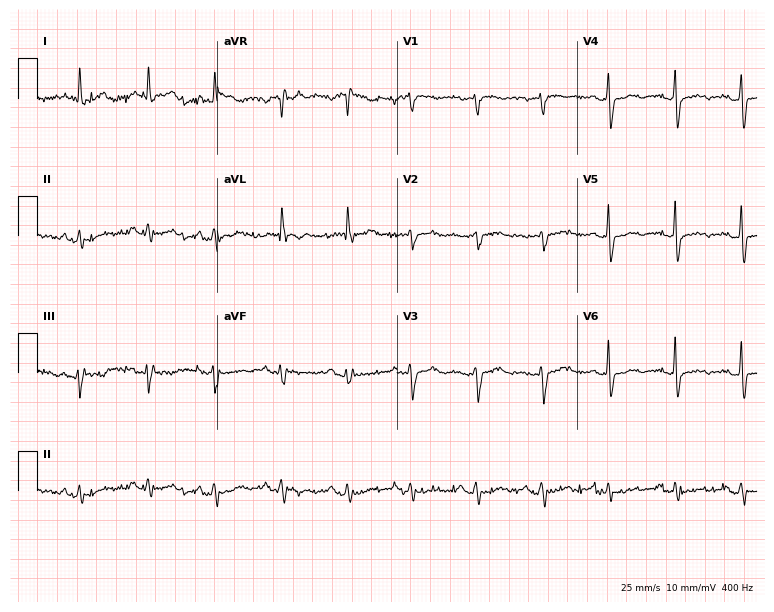
ECG (7.3-second recording at 400 Hz) — a female, 69 years old. Screened for six findings — first-degree AV block, right bundle branch block, left bundle branch block, sinus bradycardia, atrial fibrillation, sinus tachycardia — none is recorded. Findings outside these six are not listed.